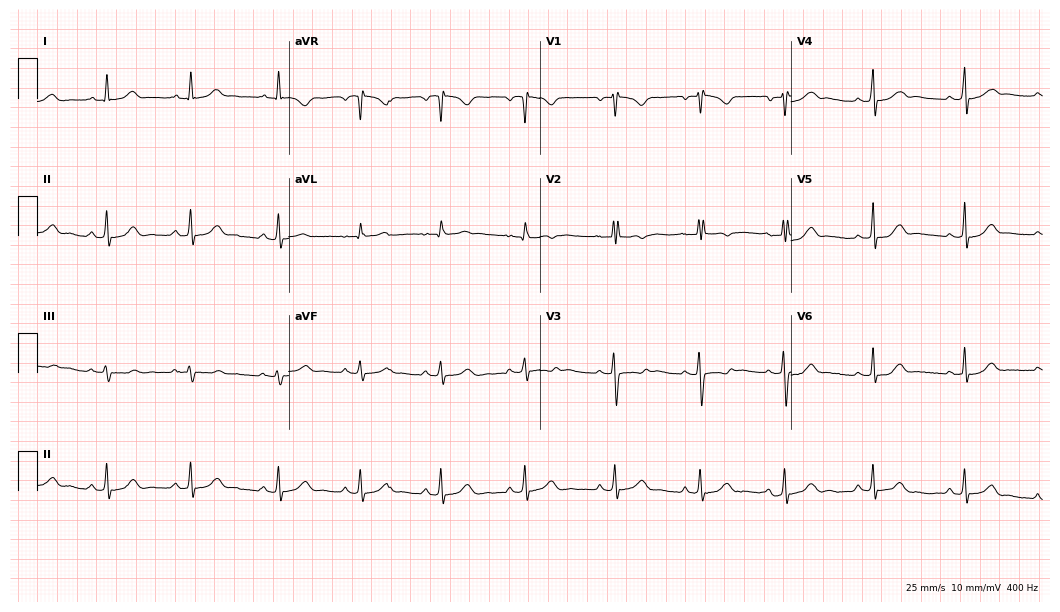
12-lead ECG from a 24-year-old woman. Labelled as a normal ECG.